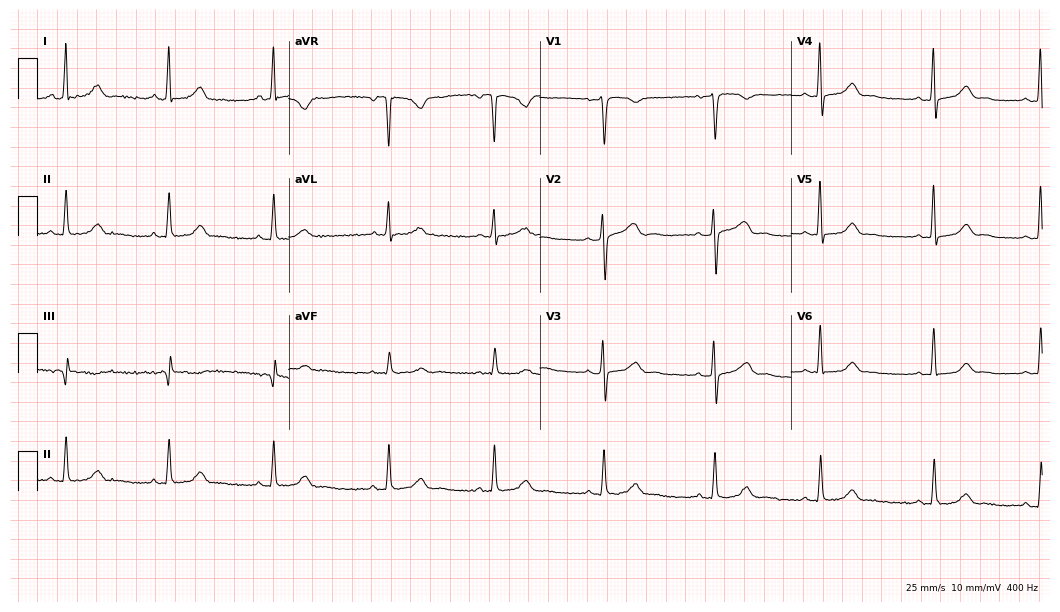
12-lead ECG from a female patient, 44 years old. Recorded interpretation: within normal limits.